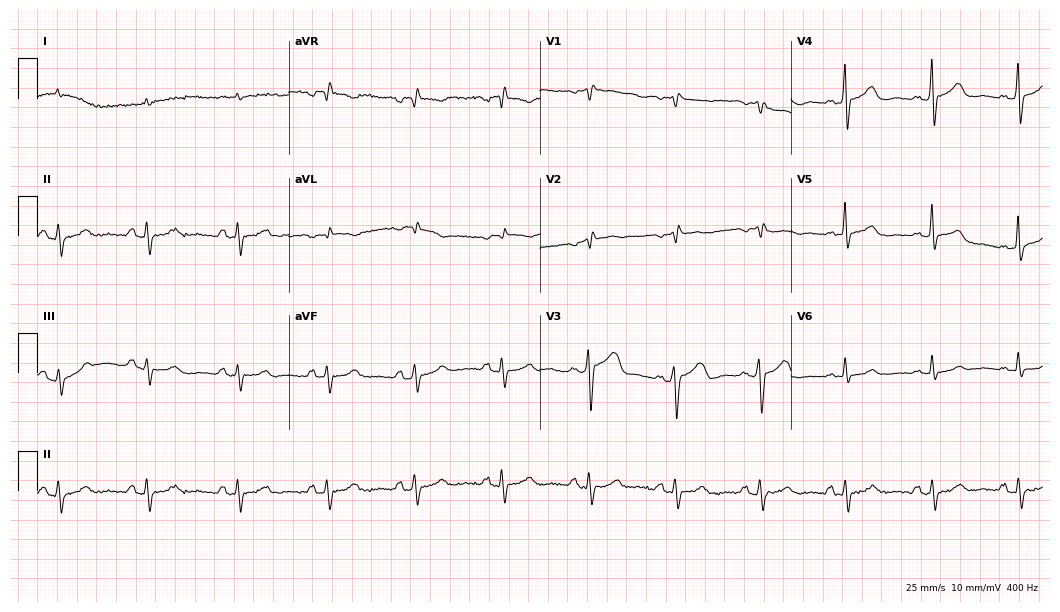
ECG (10.2-second recording at 400 Hz) — a man, 75 years old. Screened for six findings — first-degree AV block, right bundle branch block, left bundle branch block, sinus bradycardia, atrial fibrillation, sinus tachycardia — none is recorded. Other findings, if any, are not listed.